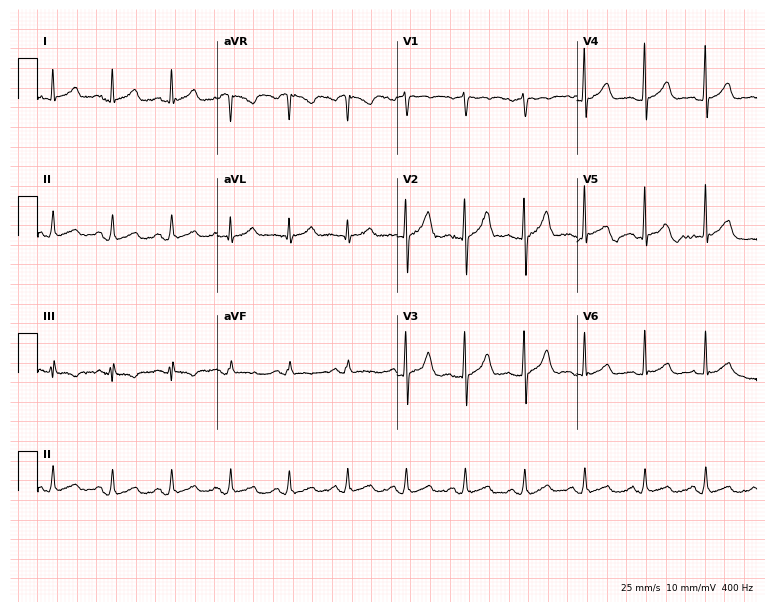
12-lead ECG from a male patient, 37 years old. Screened for six findings — first-degree AV block, right bundle branch block, left bundle branch block, sinus bradycardia, atrial fibrillation, sinus tachycardia — none is recorded. Other findings, if any, are not listed.